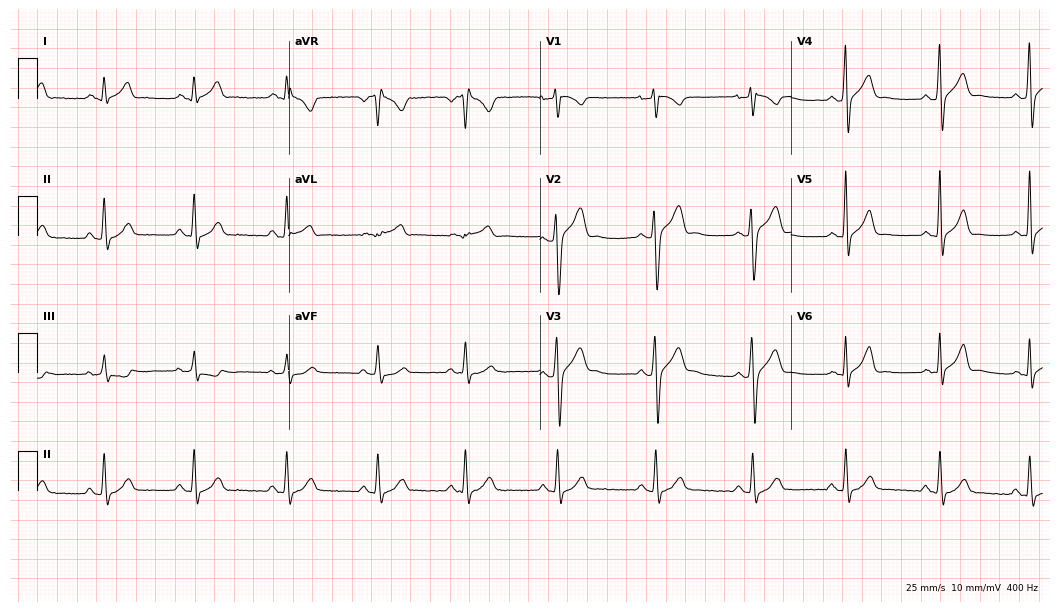
Standard 12-lead ECG recorded from a male patient, 25 years old. None of these six findings is recorded: first-degree AV block, right bundle branch block (RBBB), left bundle branch block (LBBB), sinus bradycardia, atrial fibrillation (AF), sinus tachycardia.